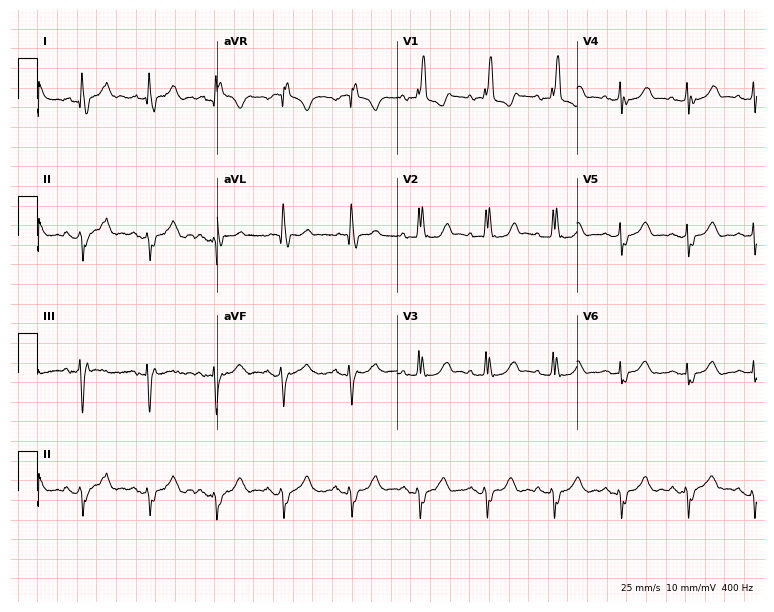
12-lead ECG from a woman, 80 years old. Findings include right bundle branch block.